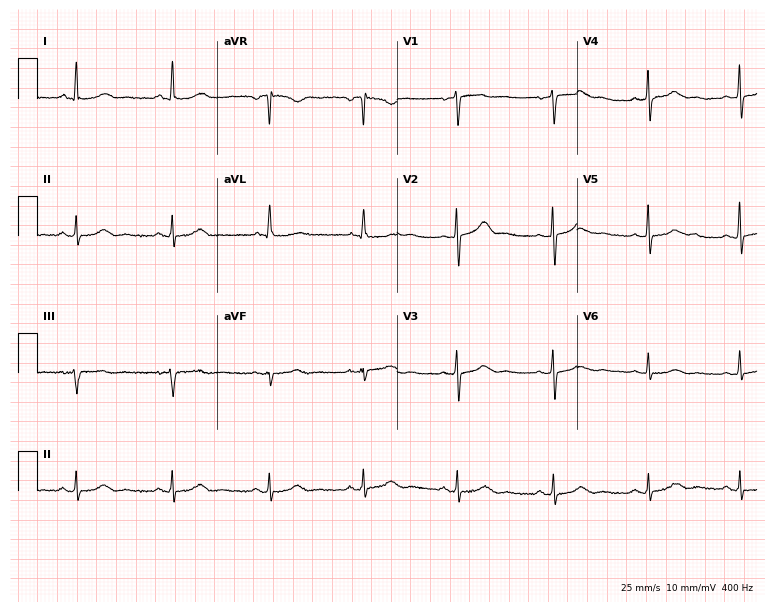
Standard 12-lead ECG recorded from a woman, 62 years old. None of these six findings is recorded: first-degree AV block, right bundle branch block, left bundle branch block, sinus bradycardia, atrial fibrillation, sinus tachycardia.